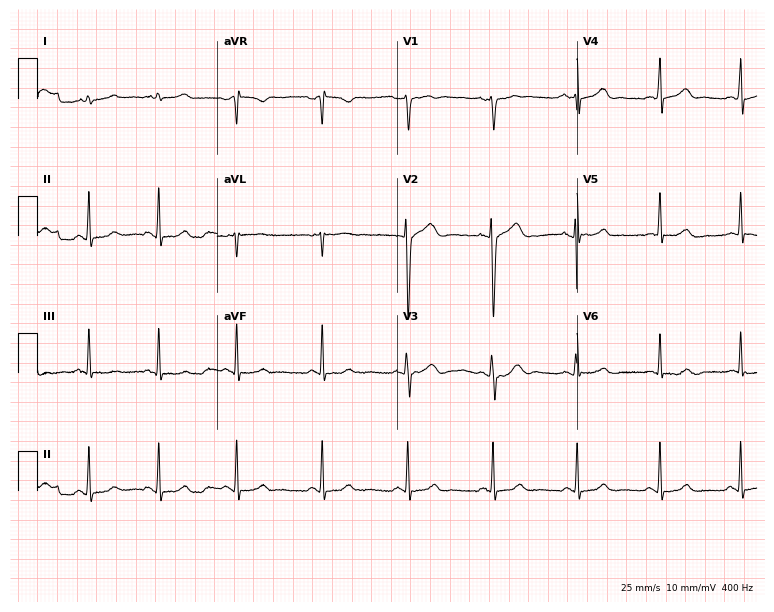
Standard 12-lead ECG recorded from a 21-year-old woman (7.3-second recording at 400 Hz). Read as a normal ECG.